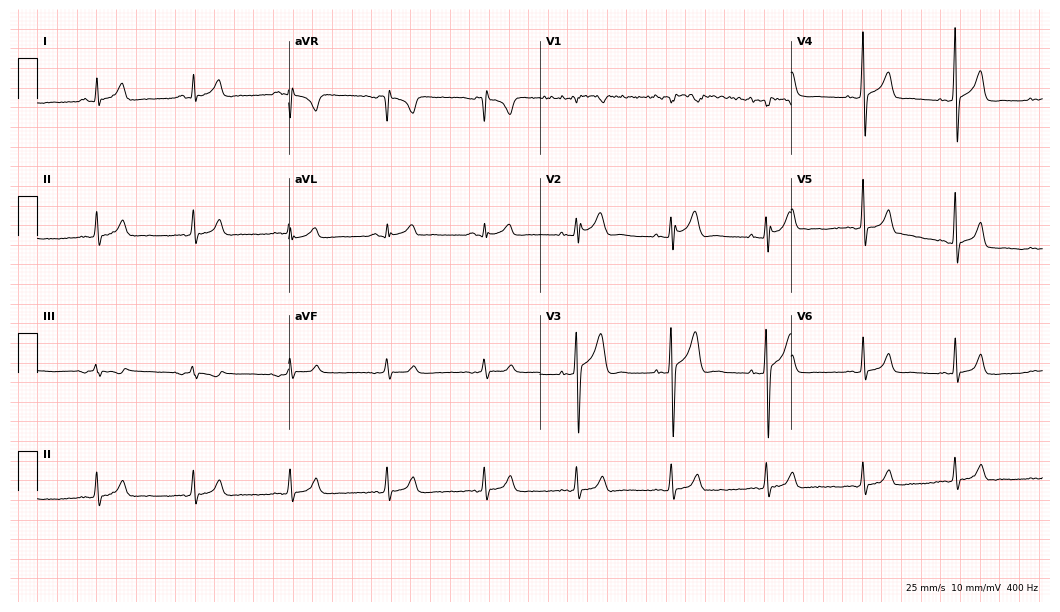
12-lead ECG from a 24-year-old male patient. Labelled as a normal ECG.